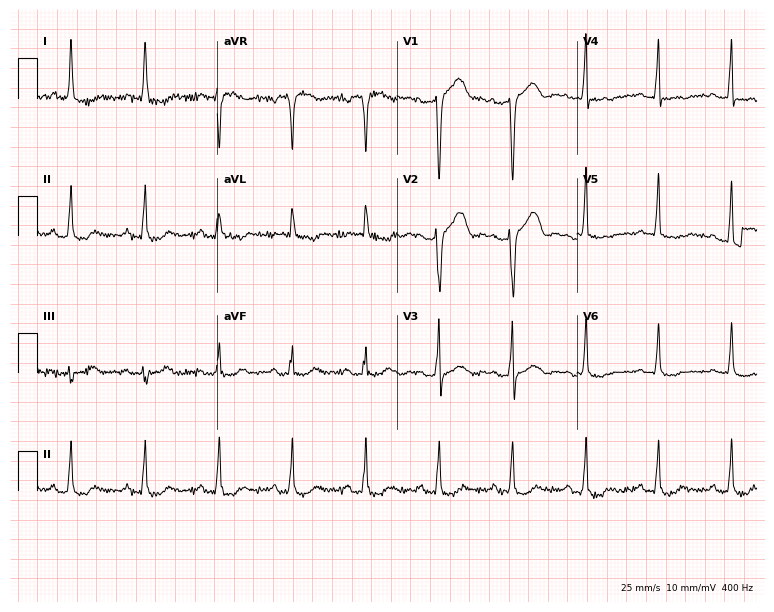
Electrocardiogram, a female patient, 78 years old. Of the six screened findings (first-degree AV block, right bundle branch block, left bundle branch block, sinus bradycardia, atrial fibrillation, sinus tachycardia), none is recorded. Only these six findings were labelled.